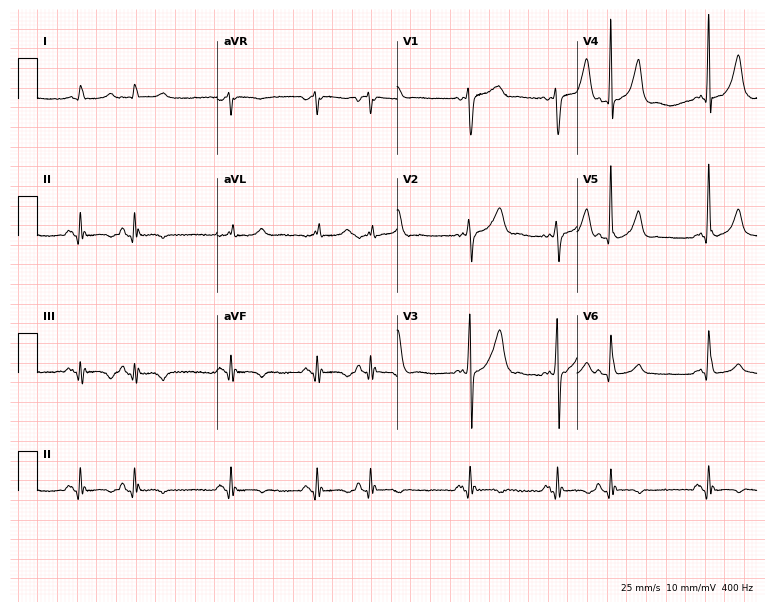
Resting 12-lead electrocardiogram. Patient: a 65-year-old male. None of these six findings is recorded: first-degree AV block, right bundle branch block (RBBB), left bundle branch block (LBBB), sinus bradycardia, atrial fibrillation (AF), sinus tachycardia. Findings outside these six are not listed.